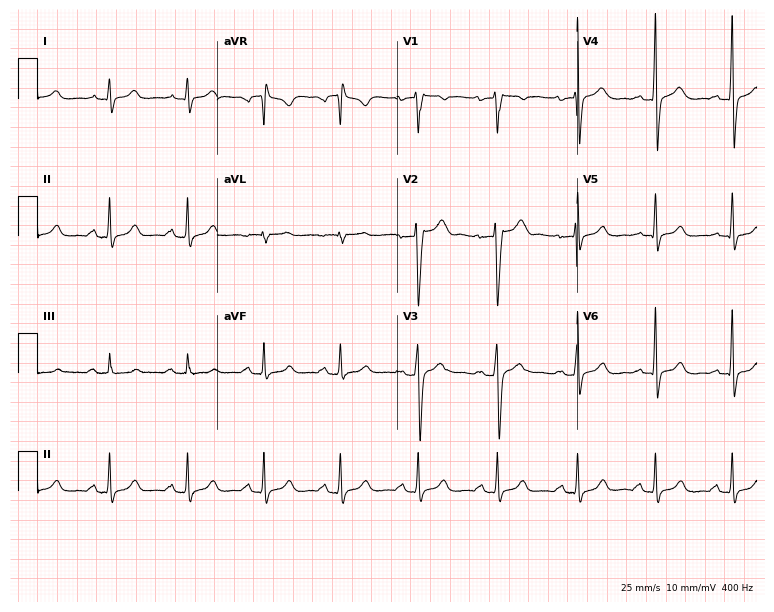
Standard 12-lead ECG recorded from a man, 36 years old. None of these six findings is recorded: first-degree AV block, right bundle branch block (RBBB), left bundle branch block (LBBB), sinus bradycardia, atrial fibrillation (AF), sinus tachycardia. Only these six findings were labelled.